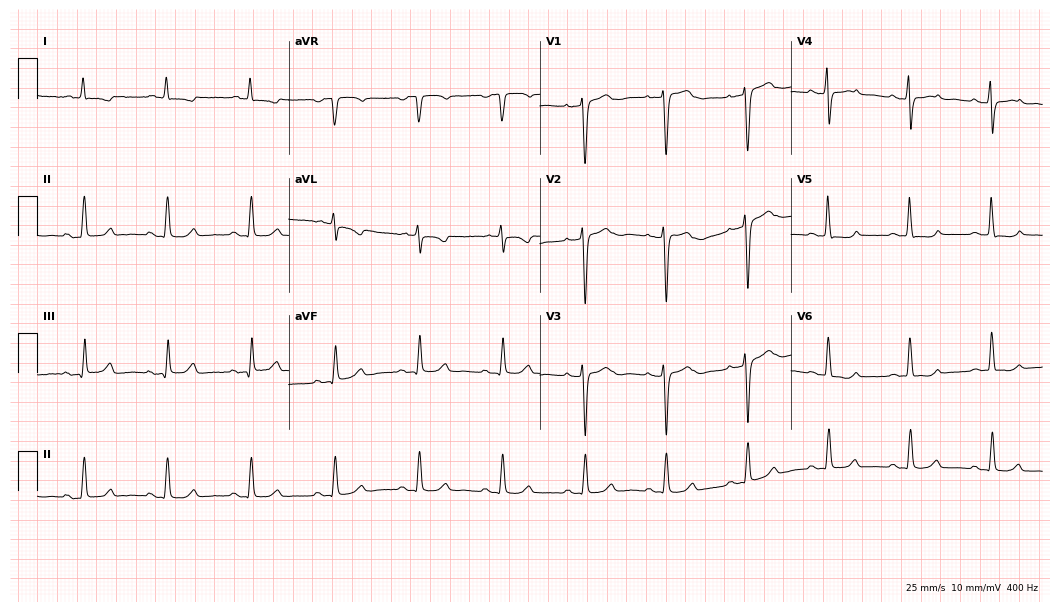
Resting 12-lead electrocardiogram (10.2-second recording at 400 Hz). Patient: a 71-year-old female. None of these six findings is recorded: first-degree AV block, right bundle branch block, left bundle branch block, sinus bradycardia, atrial fibrillation, sinus tachycardia.